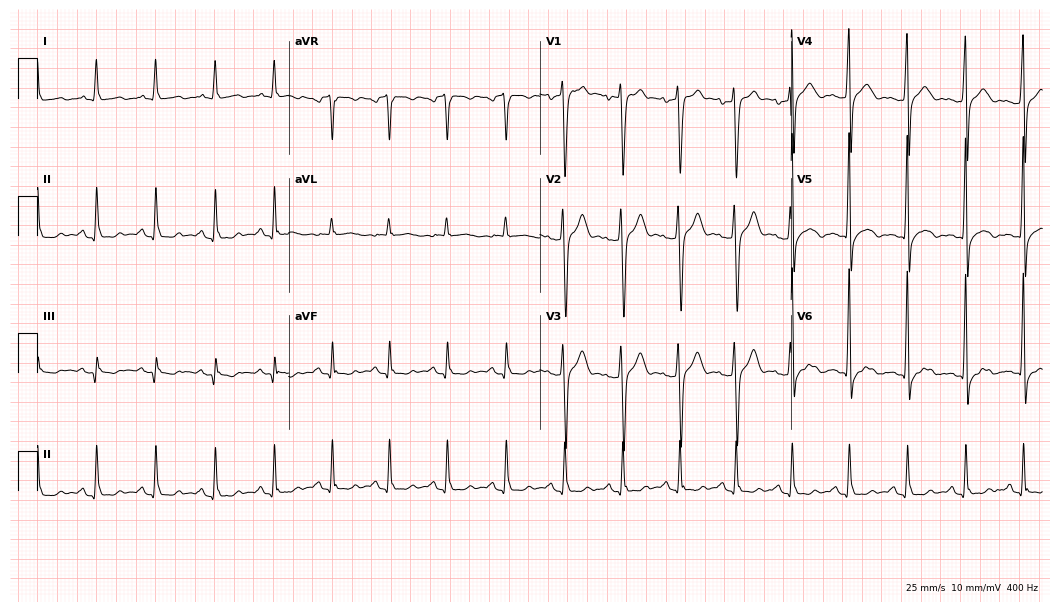
Resting 12-lead electrocardiogram. Patient: a 33-year-old man. Read as a normal ECG.